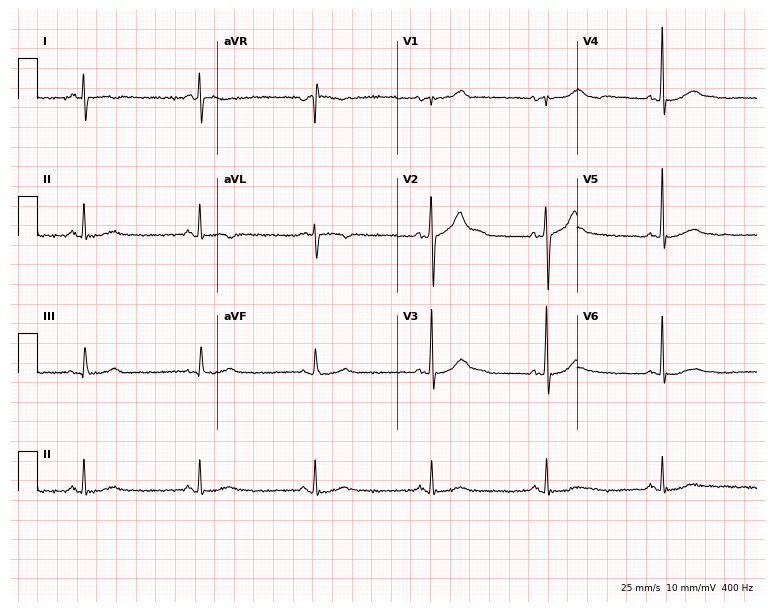
ECG — a 74-year-old male. Labelled as a normal ECG.